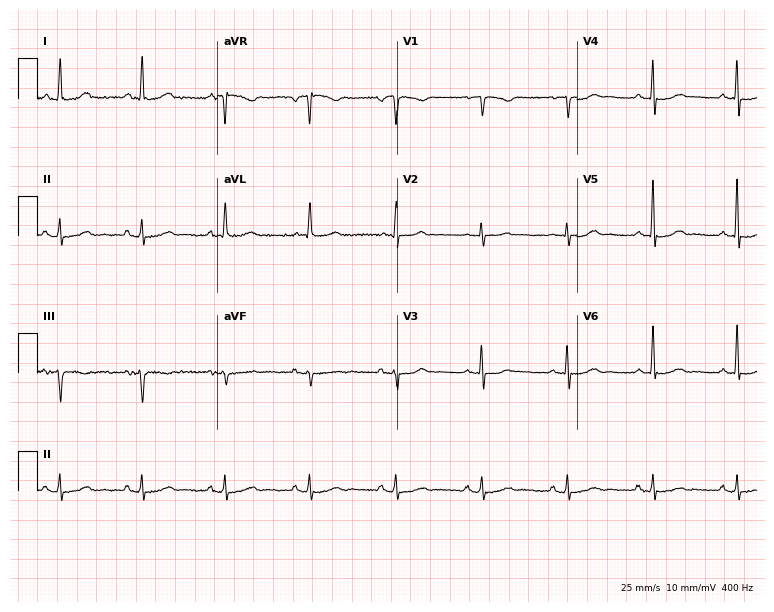
Electrocardiogram, a female patient, 72 years old. Of the six screened findings (first-degree AV block, right bundle branch block, left bundle branch block, sinus bradycardia, atrial fibrillation, sinus tachycardia), none is recorded.